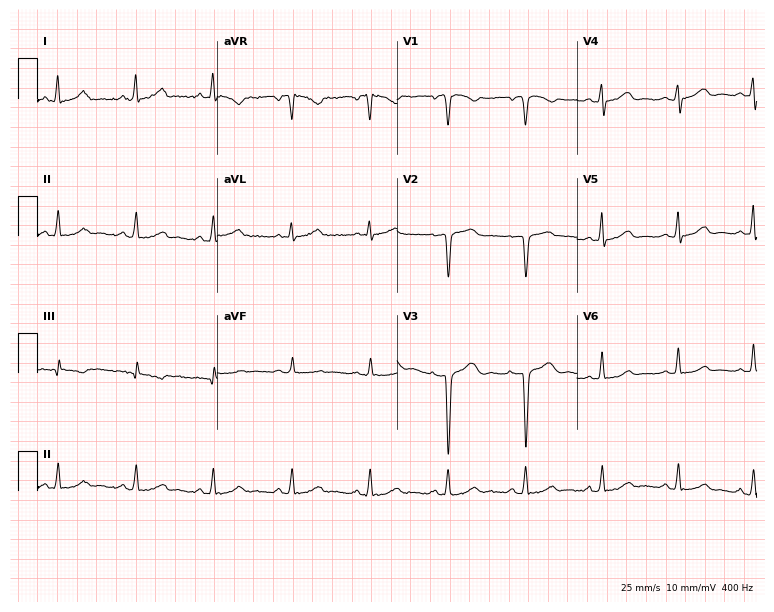
Electrocardiogram, a 50-year-old woman. Of the six screened findings (first-degree AV block, right bundle branch block, left bundle branch block, sinus bradycardia, atrial fibrillation, sinus tachycardia), none is recorded. Only these six findings were labelled.